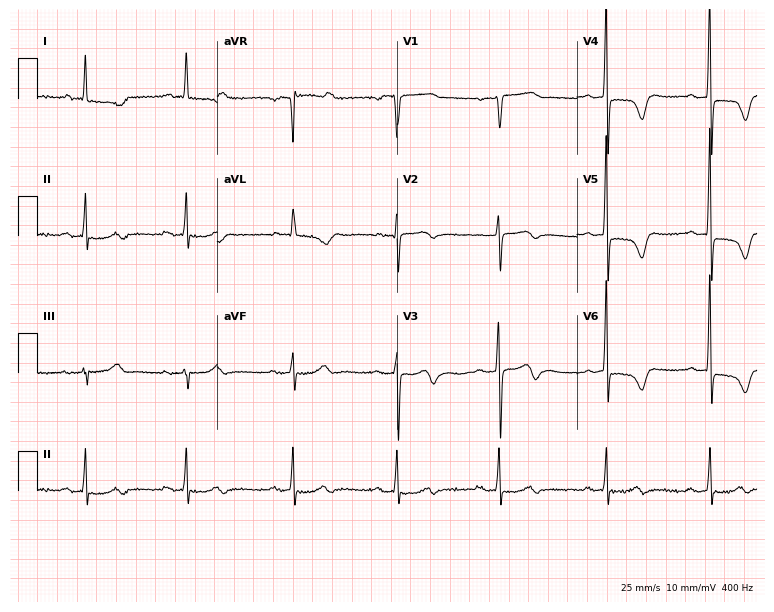
12-lead ECG from a woman, 79 years old. No first-degree AV block, right bundle branch block (RBBB), left bundle branch block (LBBB), sinus bradycardia, atrial fibrillation (AF) or sinus tachycardia recorded for this tracing. Findings outside these six are not listed.